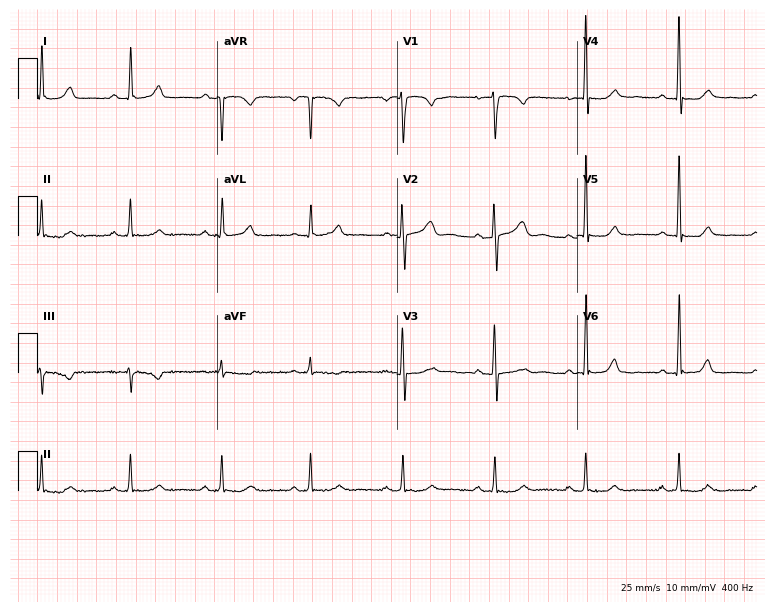
Standard 12-lead ECG recorded from a 46-year-old female patient. Read as a normal ECG.